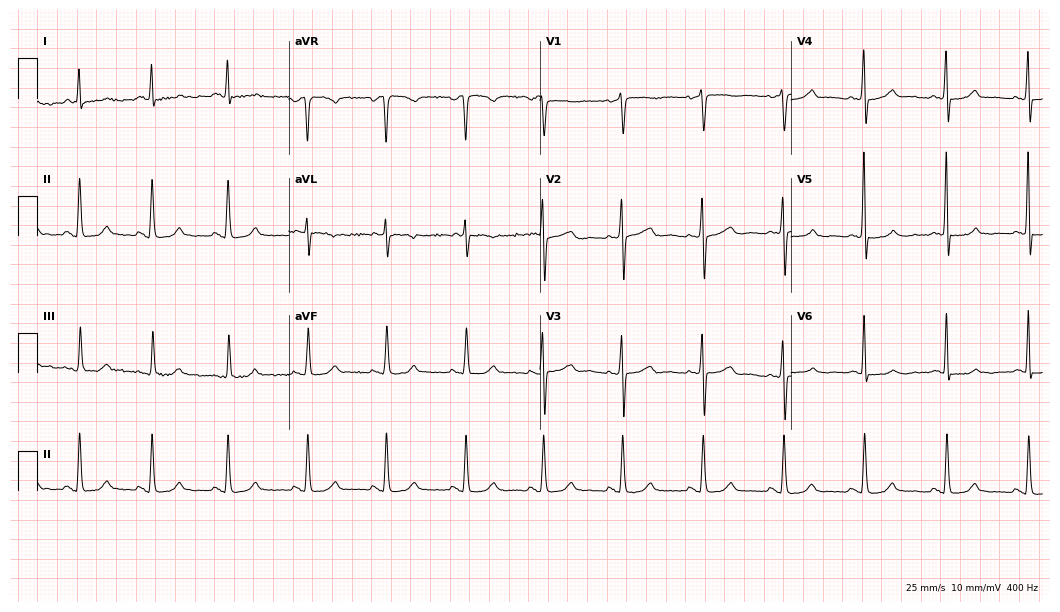
12-lead ECG from a 51-year-old female patient (10.2-second recording at 400 Hz). Recorded interpretation: within normal limits.